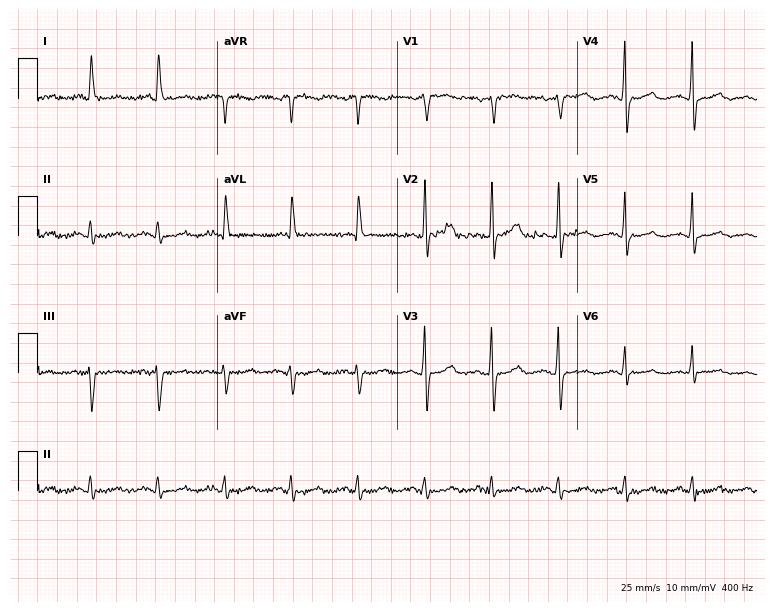
ECG (7.3-second recording at 400 Hz) — a 69-year-old female. Screened for six findings — first-degree AV block, right bundle branch block (RBBB), left bundle branch block (LBBB), sinus bradycardia, atrial fibrillation (AF), sinus tachycardia — none is recorded.